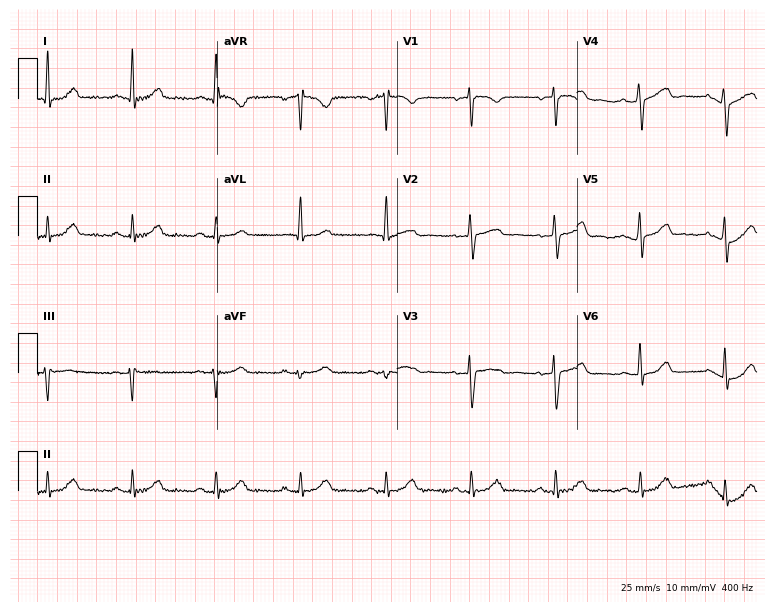
Standard 12-lead ECG recorded from a female patient, 58 years old (7.3-second recording at 400 Hz). Read as a normal ECG.